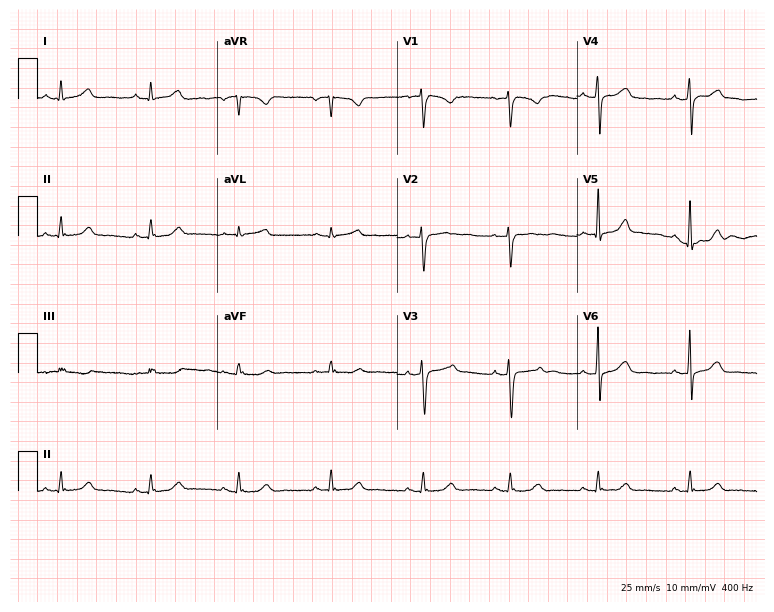
Resting 12-lead electrocardiogram (7.3-second recording at 400 Hz). Patient: a 35-year-old female. Read as a normal ECG.